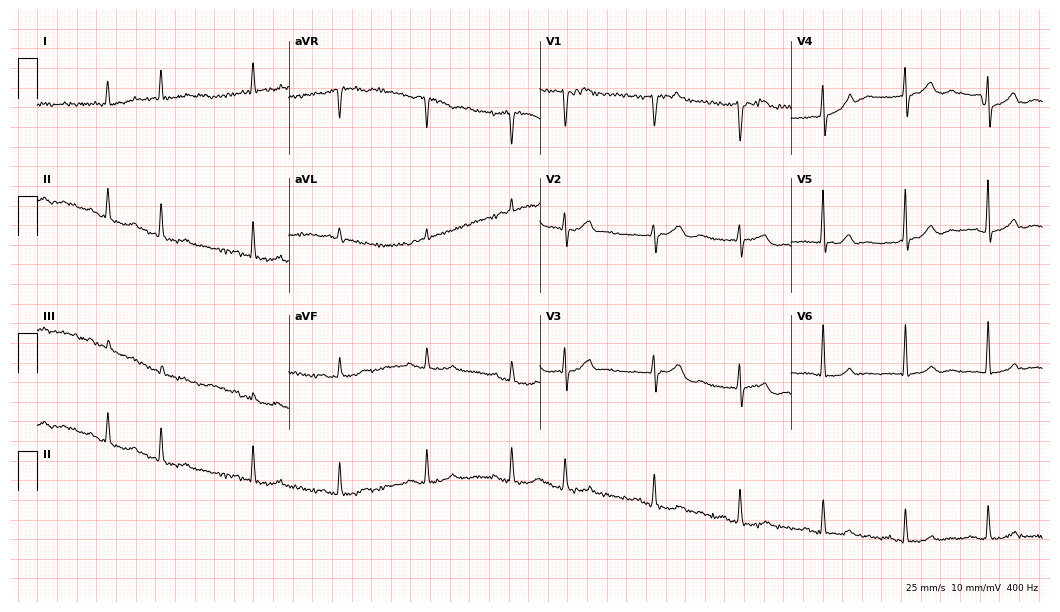
12-lead ECG (10.2-second recording at 400 Hz) from a male patient, 76 years old. Screened for six findings — first-degree AV block, right bundle branch block (RBBB), left bundle branch block (LBBB), sinus bradycardia, atrial fibrillation (AF), sinus tachycardia — none is recorded. Only these six findings were labelled.